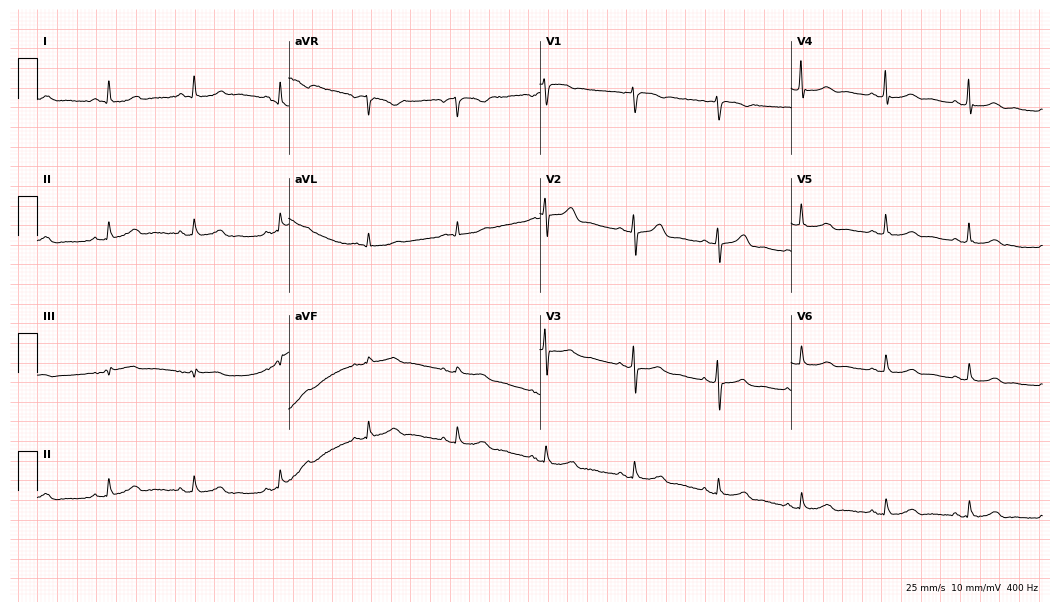
Resting 12-lead electrocardiogram (10.2-second recording at 400 Hz). Patient: a female, 57 years old. None of these six findings is recorded: first-degree AV block, right bundle branch block (RBBB), left bundle branch block (LBBB), sinus bradycardia, atrial fibrillation (AF), sinus tachycardia.